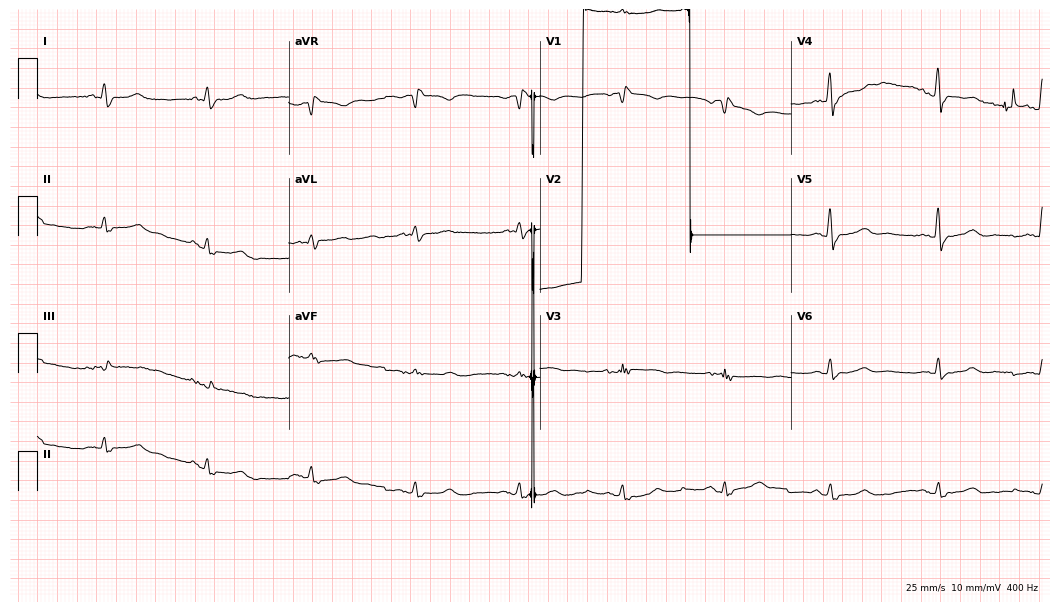
Electrocardiogram (10.2-second recording at 400 Hz), a 69-year-old female patient. Of the six screened findings (first-degree AV block, right bundle branch block, left bundle branch block, sinus bradycardia, atrial fibrillation, sinus tachycardia), none is recorded. Findings outside these six are not listed.